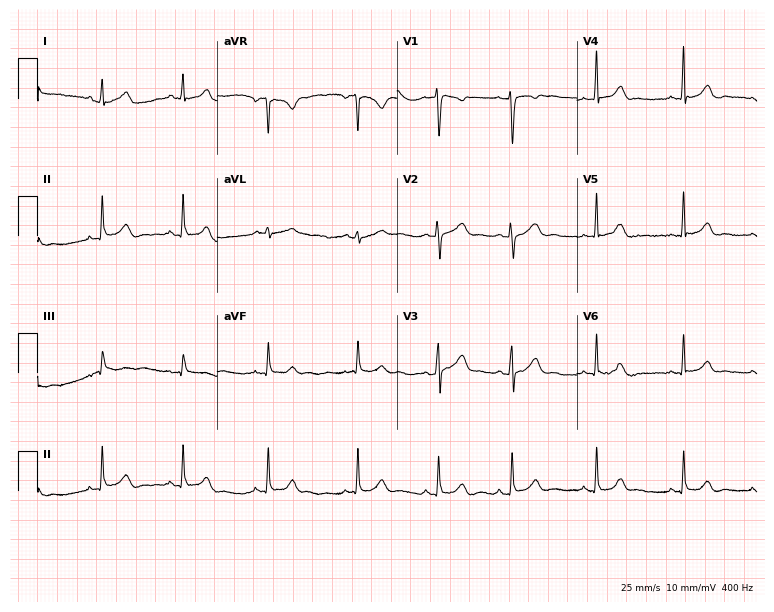
Electrocardiogram (7.3-second recording at 400 Hz), a 19-year-old woman. Of the six screened findings (first-degree AV block, right bundle branch block, left bundle branch block, sinus bradycardia, atrial fibrillation, sinus tachycardia), none is recorded.